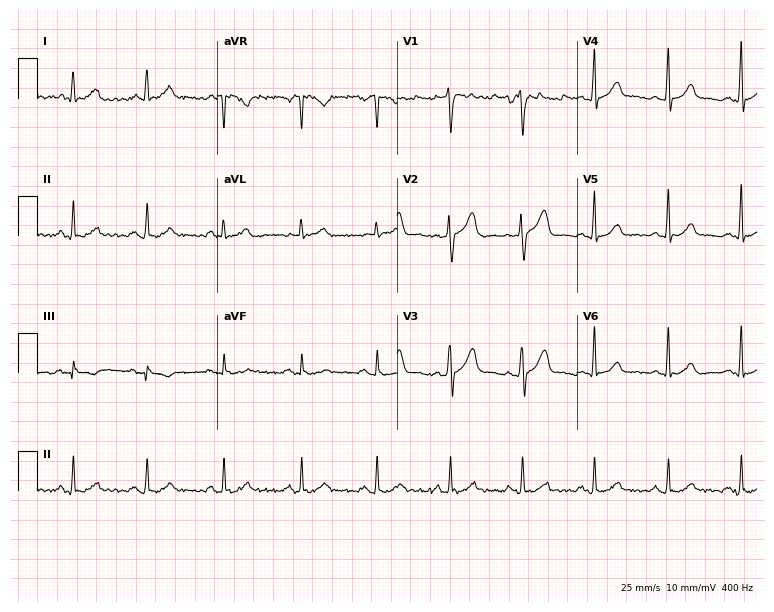
Electrocardiogram (7.3-second recording at 400 Hz), a 44-year-old man. Overall reading on record: normal ECG.